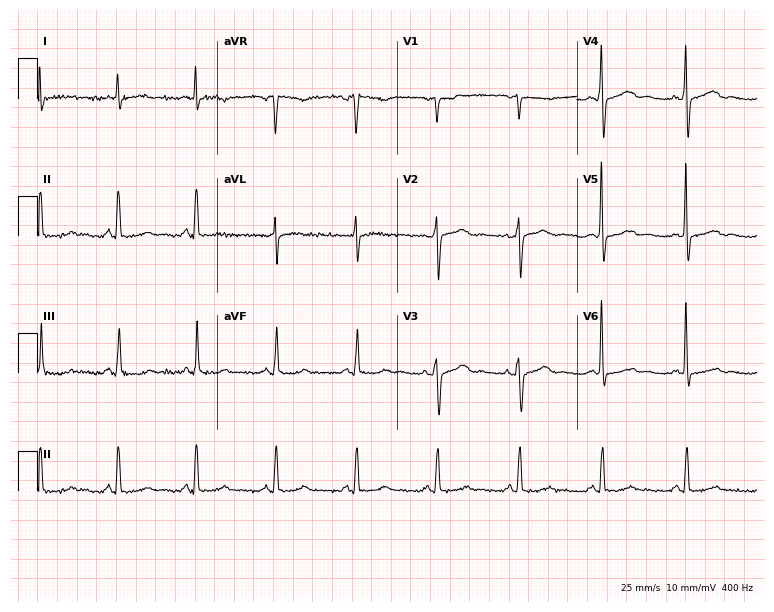
Electrocardiogram, a 71-year-old female. Of the six screened findings (first-degree AV block, right bundle branch block, left bundle branch block, sinus bradycardia, atrial fibrillation, sinus tachycardia), none is recorded.